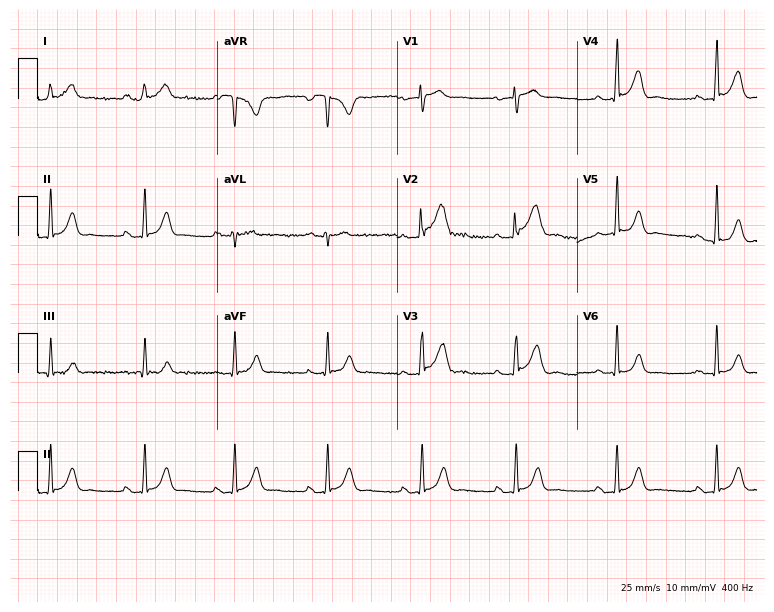
12-lead ECG from a 26-year-old woman (7.3-second recording at 400 Hz). Recorded interpretation: within normal limits.